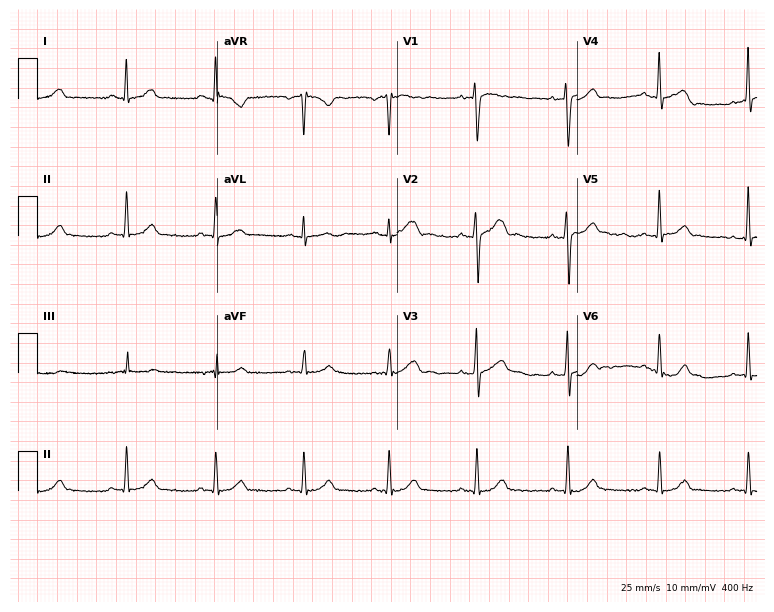
Standard 12-lead ECG recorded from a 28-year-old man (7.3-second recording at 400 Hz). None of these six findings is recorded: first-degree AV block, right bundle branch block, left bundle branch block, sinus bradycardia, atrial fibrillation, sinus tachycardia.